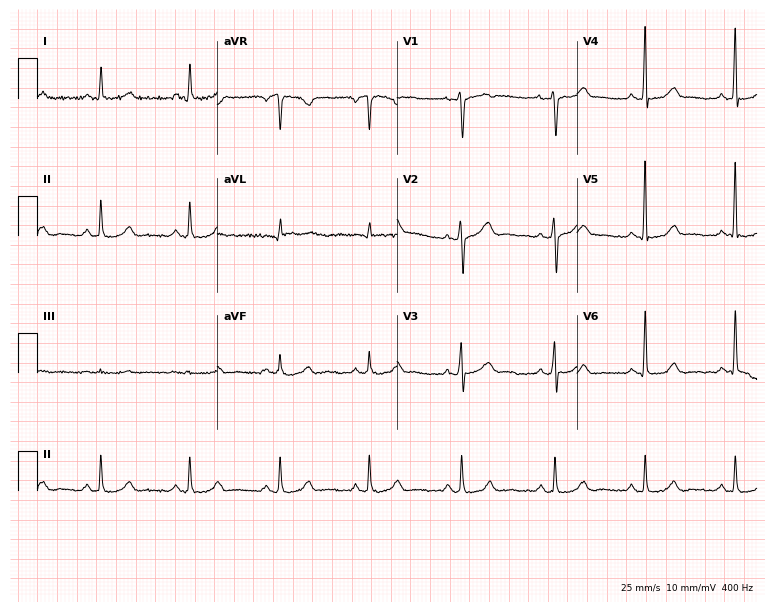
12-lead ECG from a woman, 41 years old. Labelled as a normal ECG.